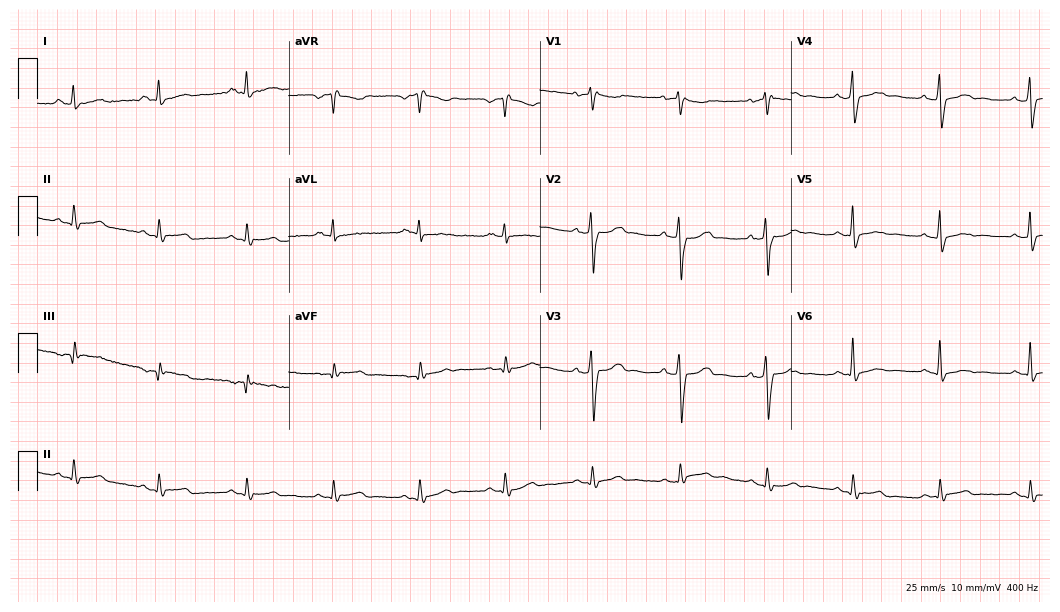
Electrocardiogram (10.2-second recording at 400 Hz), a man, 37 years old. Of the six screened findings (first-degree AV block, right bundle branch block, left bundle branch block, sinus bradycardia, atrial fibrillation, sinus tachycardia), none is recorded. Only these six findings were labelled.